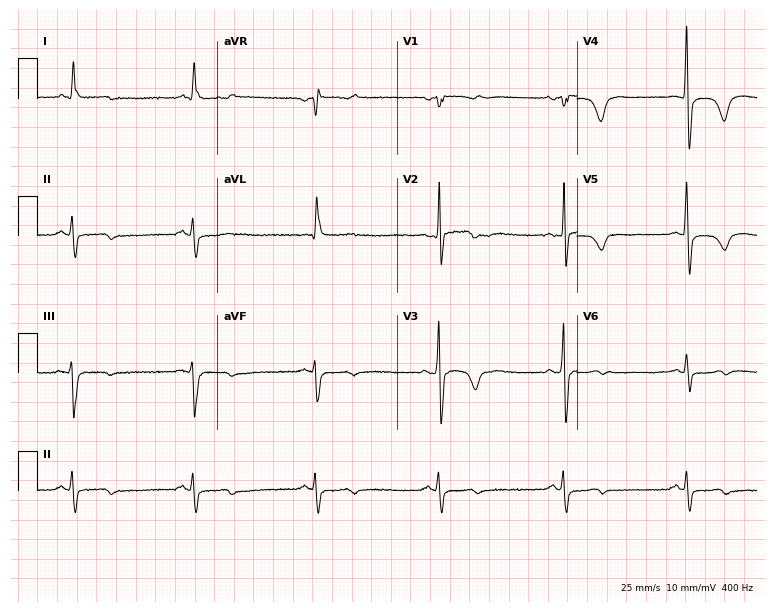
ECG (7.3-second recording at 400 Hz) — a 79-year-old male. Findings include sinus bradycardia (a sinus rate of 50 beats per minute or less).